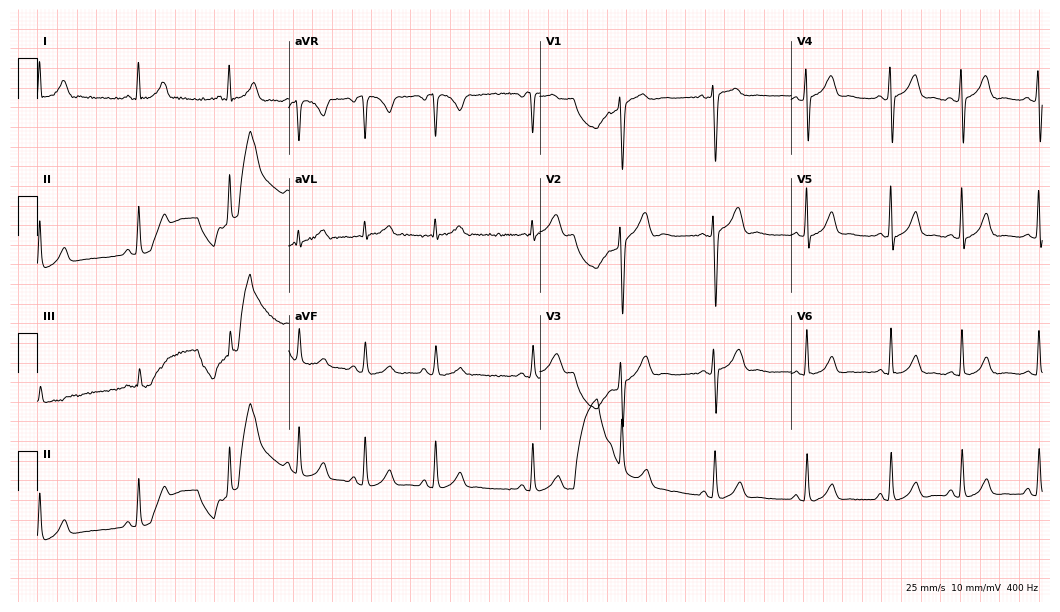
Resting 12-lead electrocardiogram. Patient: a woman, 28 years old. Read as a normal ECG.